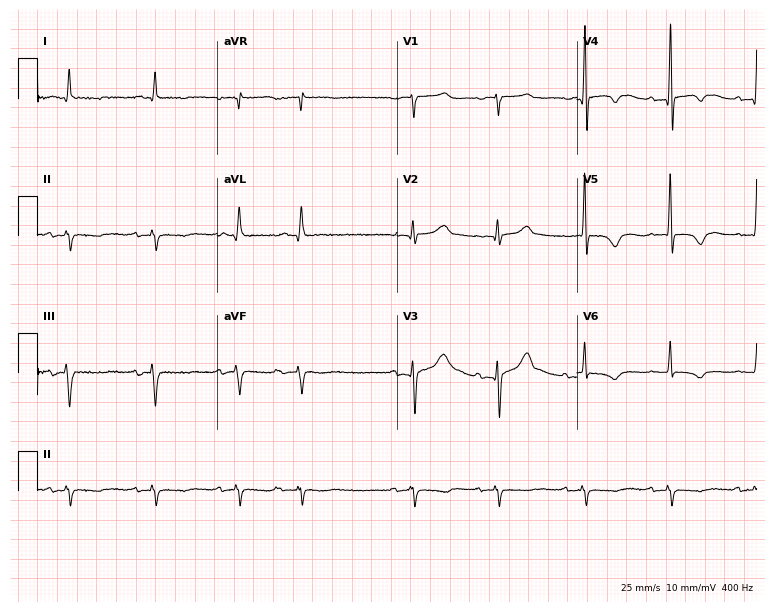
12-lead ECG from an 83-year-old male patient. Screened for six findings — first-degree AV block, right bundle branch block (RBBB), left bundle branch block (LBBB), sinus bradycardia, atrial fibrillation (AF), sinus tachycardia — none is recorded. Other findings, if any, are not listed.